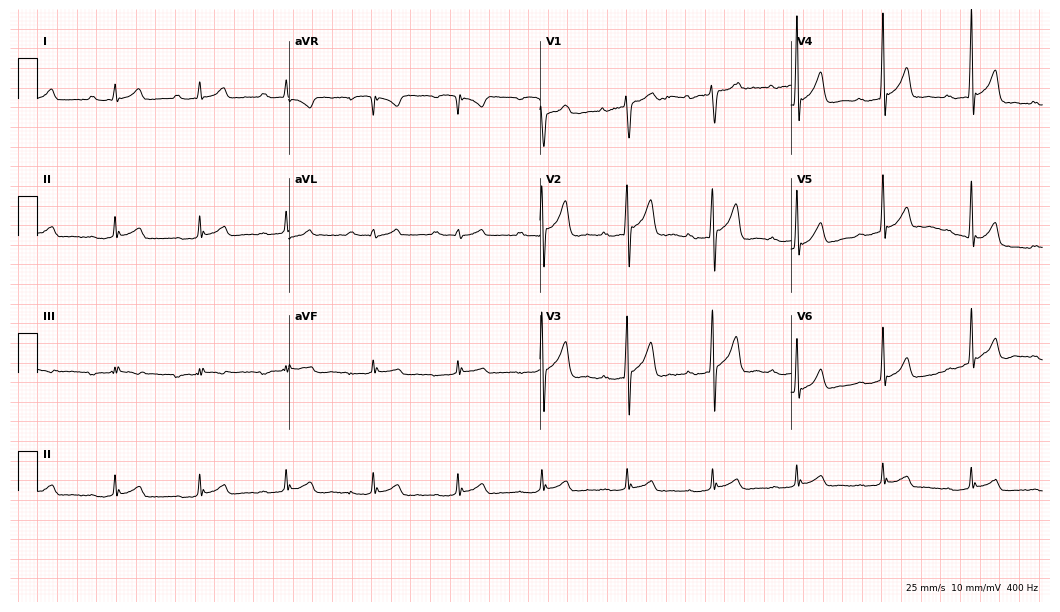
Resting 12-lead electrocardiogram (10.2-second recording at 400 Hz). Patient: a 31-year-old male. The tracing shows first-degree AV block.